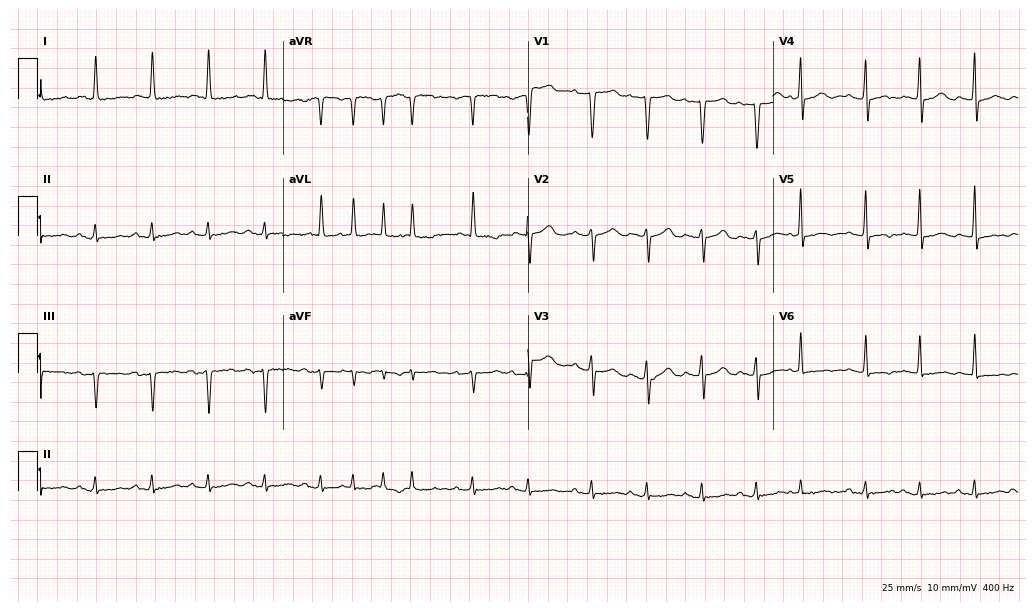
12-lead ECG from a female, 73 years old. Screened for six findings — first-degree AV block, right bundle branch block, left bundle branch block, sinus bradycardia, atrial fibrillation, sinus tachycardia — none is recorded. Only these six findings were labelled.